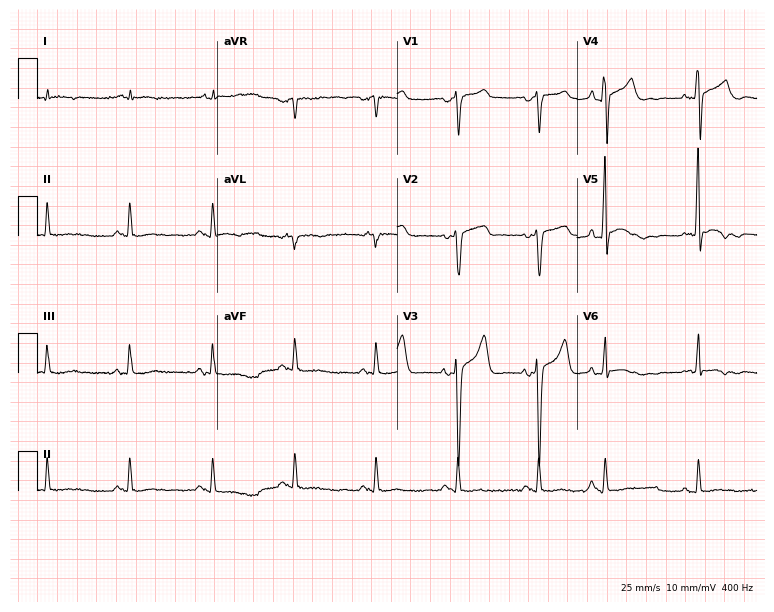
ECG — a 73-year-old male. Screened for six findings — first-degree AV block, right bundle branch block, left bundle branch block, sinus bradycardia, atrial fibrillation, sinus tachycardia — none is recorded.